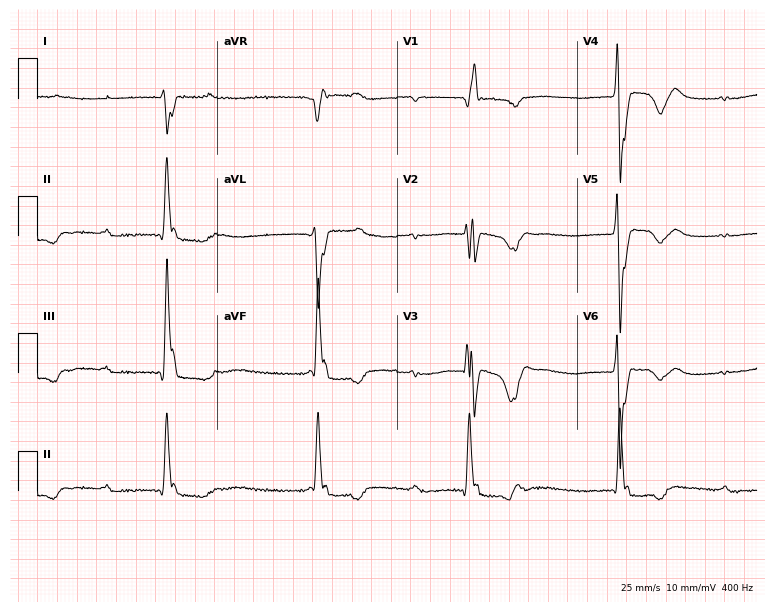
Standard 12-lead ECG recorded from a 75-year-old man (7.3-second recording at 400 Hz). None of these six findings is recorded: first-degree AV block, right bundle branch block, left bundle branch block, sinus bradycardia, atrial fibrillation, sinus tachycardia.